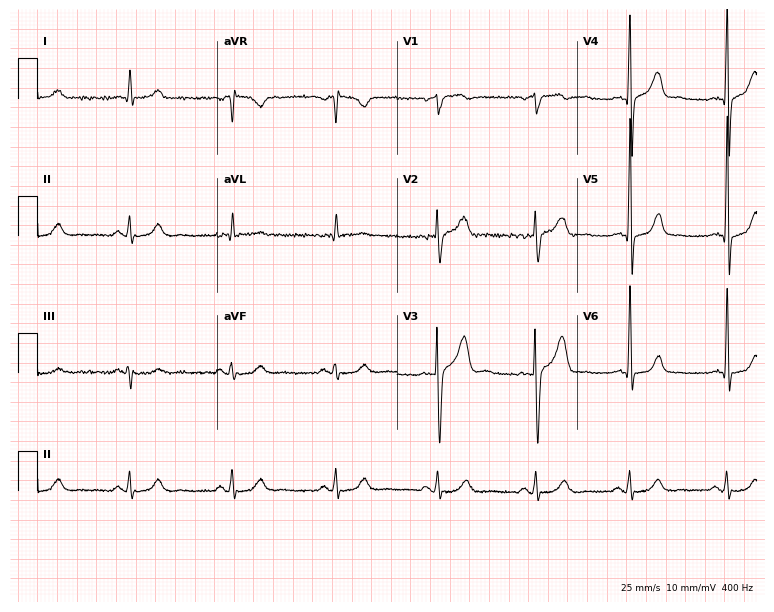
Standard 12-lead ECG recorded from a 54-year-old male (7.3-second recording at 400 Hz). None of these six findings is recorded: first-degree AV block, right bundle branch block (RBBB), left bundle branch block (LBBB), sinus bradycardia, atrial fibrillation (AF), sinus tachycardia. Only these six findings were labelled.